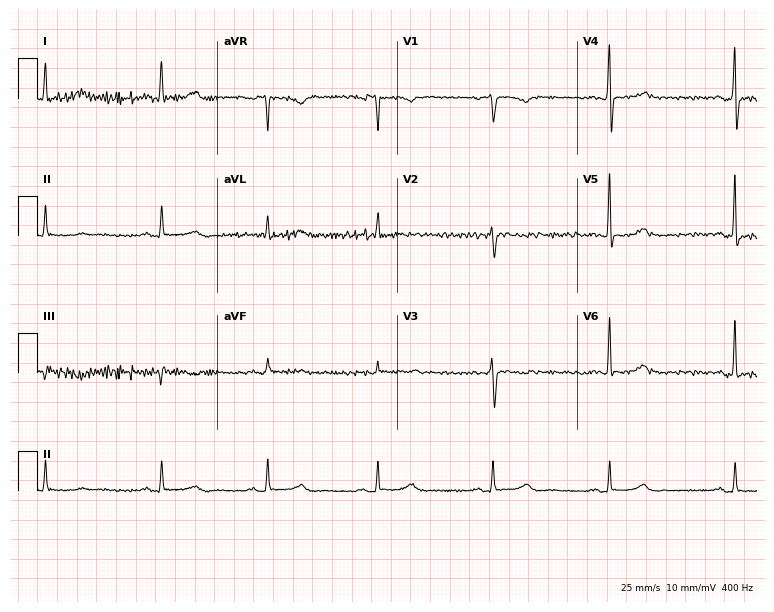
12-lead ECG from a female, 61 years old (7.3-second recording at 400 Hz). Recorded interpretation: within normal limits.